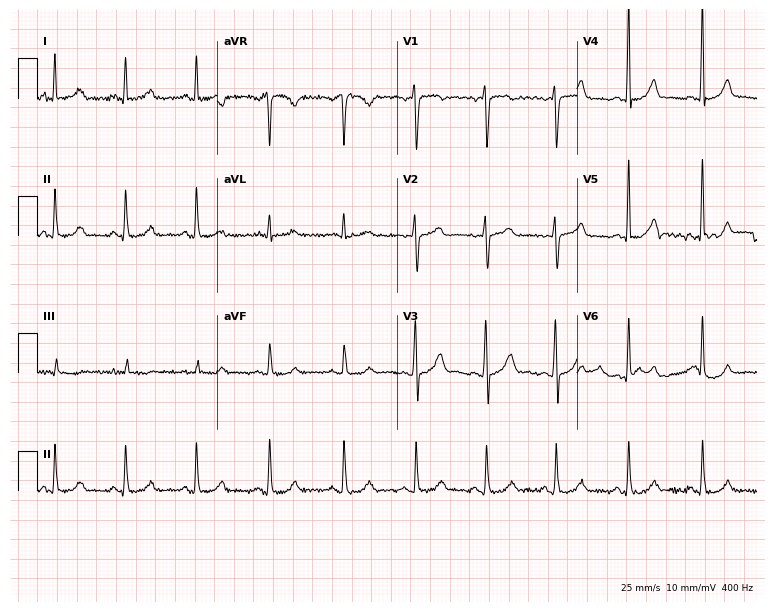
ECG (7.3-second recording at 400 Hz) — a 34-year-old female patient. Labelled as a normal ECG.